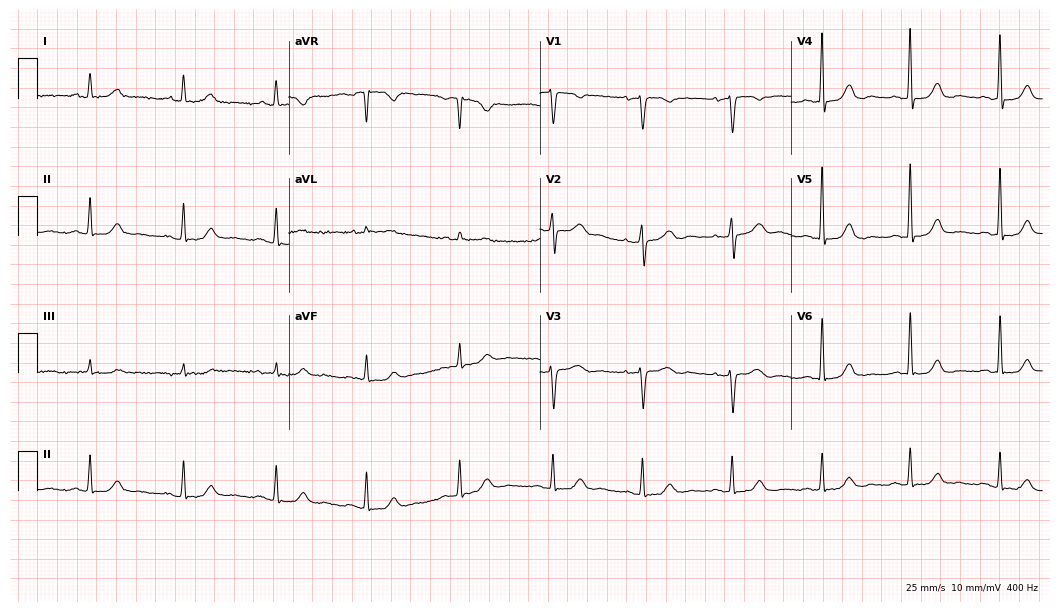
Standard 12-lead ECG recorded from a male, 77 years old (10.2-second recording at 400 Hz). None of these six findings is recorded: first-degree AV block, right bundle branch block, left bundle branch block, sinus bradycardia, atrial fibrillation, sinus tachycardia. Findings outside these six are not listed.